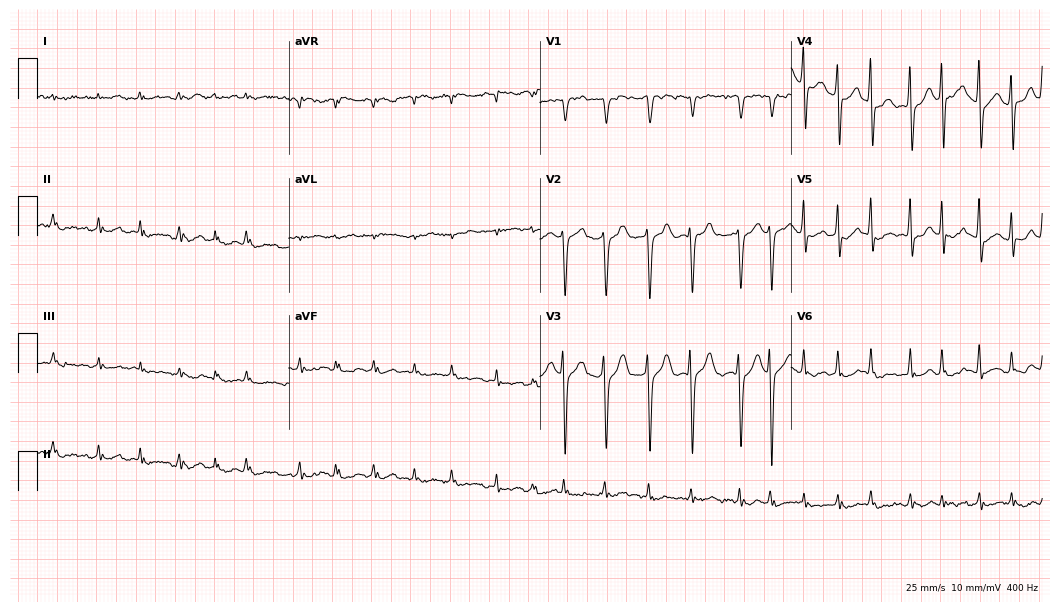
Standard 12-lead ECG recorded from an 80-year-old man (10.2-second recording at 400 Hz). The tracing shows atrial fibrillation.